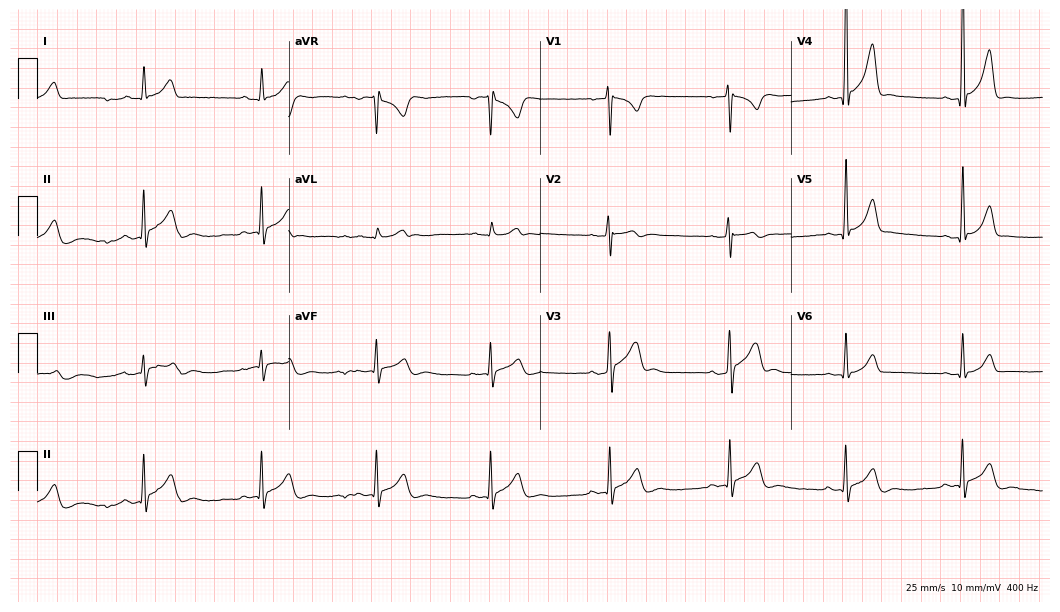
Electrocardiogram (10.2-second recording at 400 Hz), a male patient, 30 years old. Interpretation includes sinus bradycardia (a sinus rate of 50 beats per minute or less).